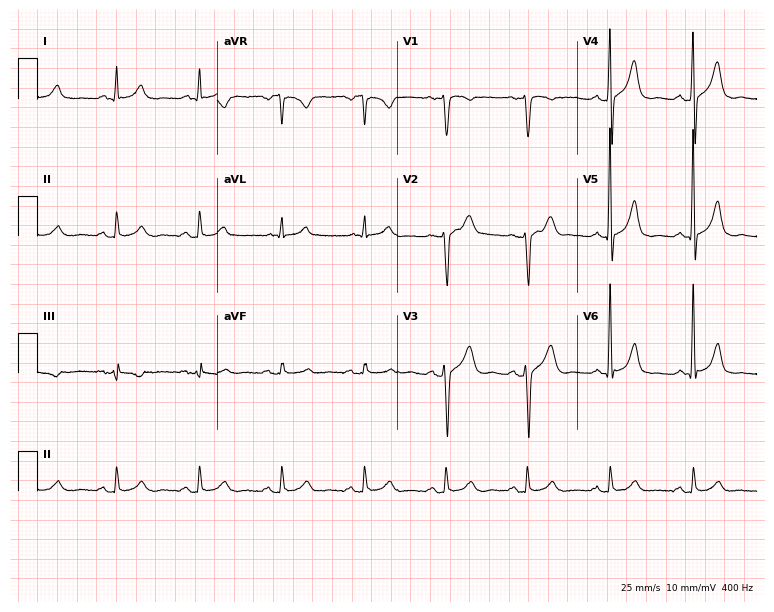
Resting 12-lead electrocardiogram. Patient: a man, 60 years old. Read as a normal ECG.